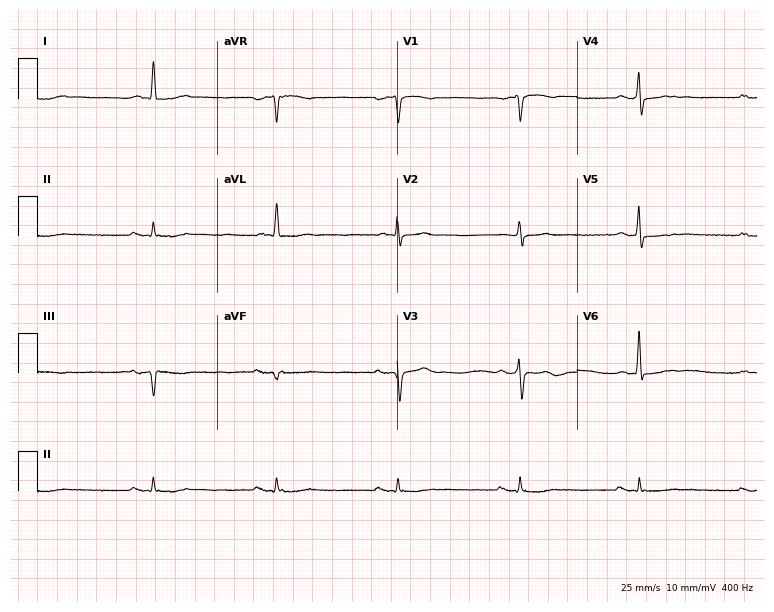
Resting 12-lead electrocardiogram (7.3-second recording at 400 Hz). Patient: a 67-year-old male. None of these six findings is recorded: first-degree AV block, right bundle branch block (RBBB), left bundle branch block (LBBB), sinus bradycardia, atrial fibrillation (AF), sinus tachycardia. Findings outside these six are not listed.